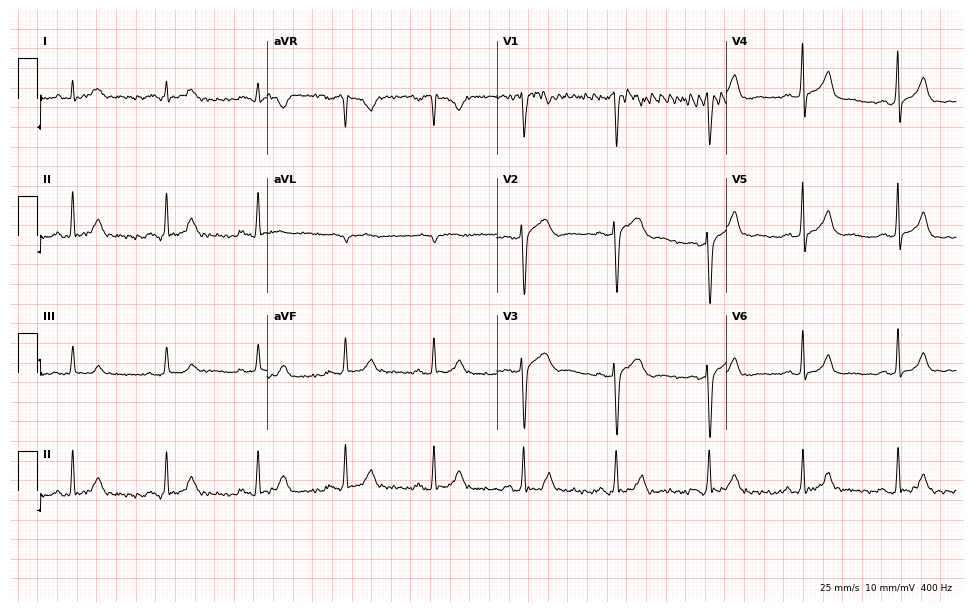
ECG (9.4-second recording at 400 Hz) — a male, 45 years old. Screened for six findings — first-degree AV block, right bundle branch block, left bundle branch block, sinus bradycardia, atrial fibrillation, sinus tachycardia — none is recorded. Findings outside these six are not listed.